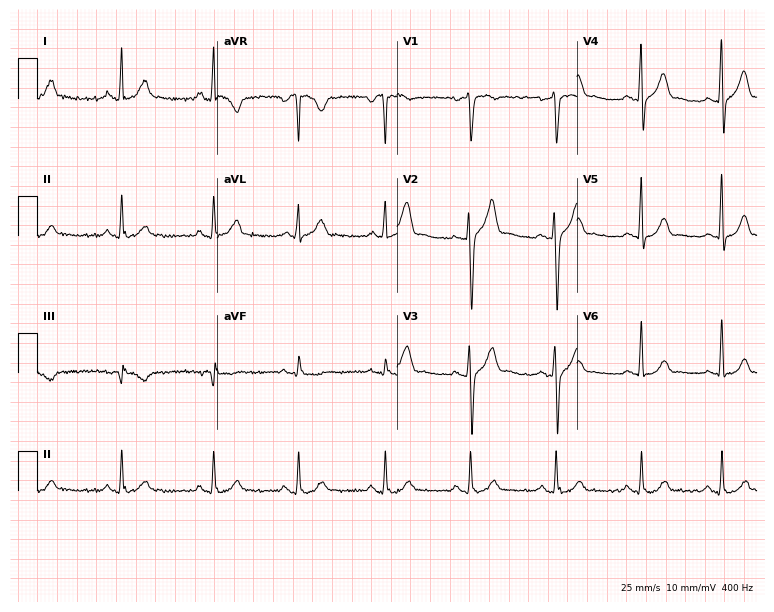
Standard 12-lead ECG recorded from a 37-year-old male (7.3-second recording at 400 Hz). Read as a normal ECG.